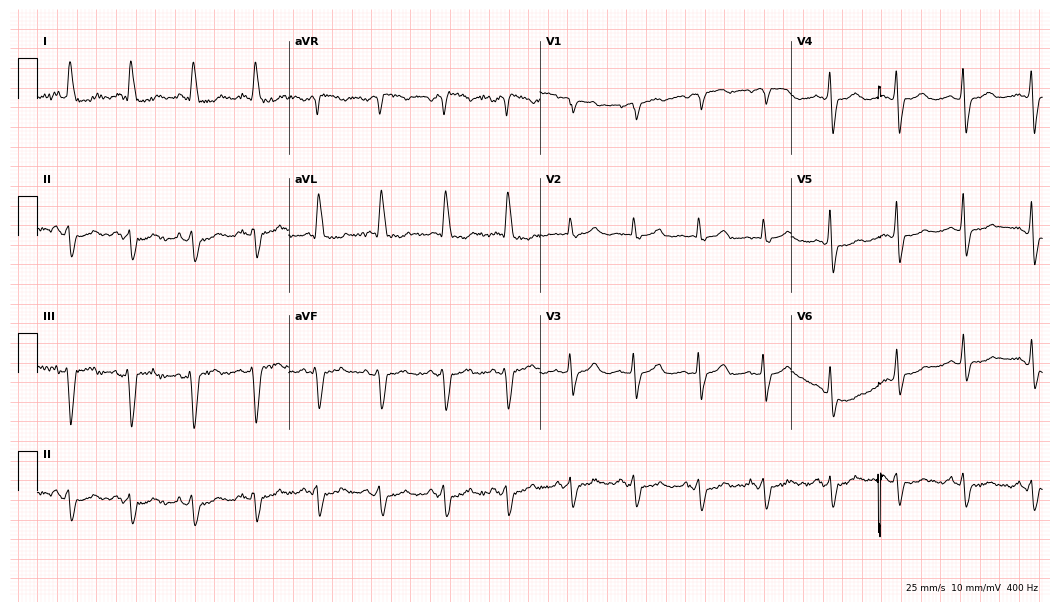
ECG — a female patient, 85 years old. Screened for six findings — first-degree AV block, right bundle branch block (RBBB), left bundle branch block (LBBB), sinus bradycardia, atrial fibrillation (AF), sinus tachycardia — none is recorded.